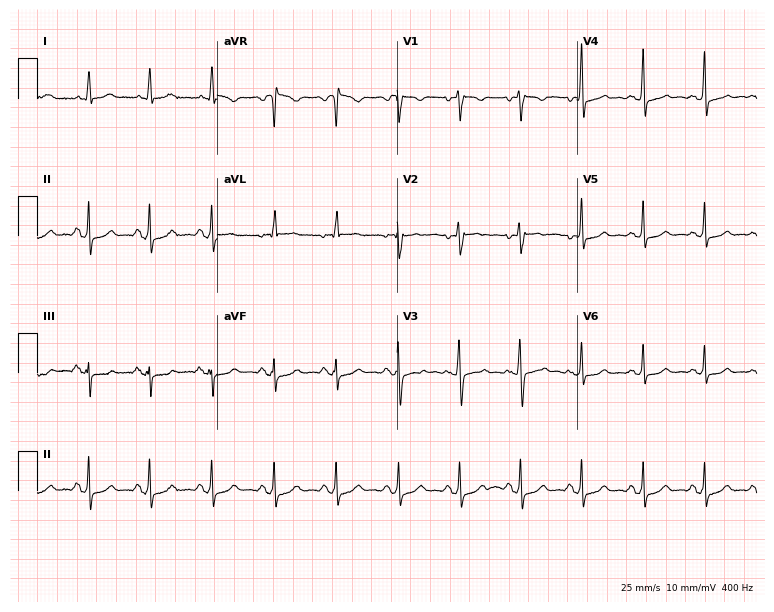
12-lead ECG (7.3-second recording at 400 Hz) from a 39-year-old woman. Screened for six findings — first-degree AV block, right bundle branch block, left bundle branch block, sinus bradycardia, atrial fibrillation, sinus tachycardia — none is recorded. Only these six findings were labelled.